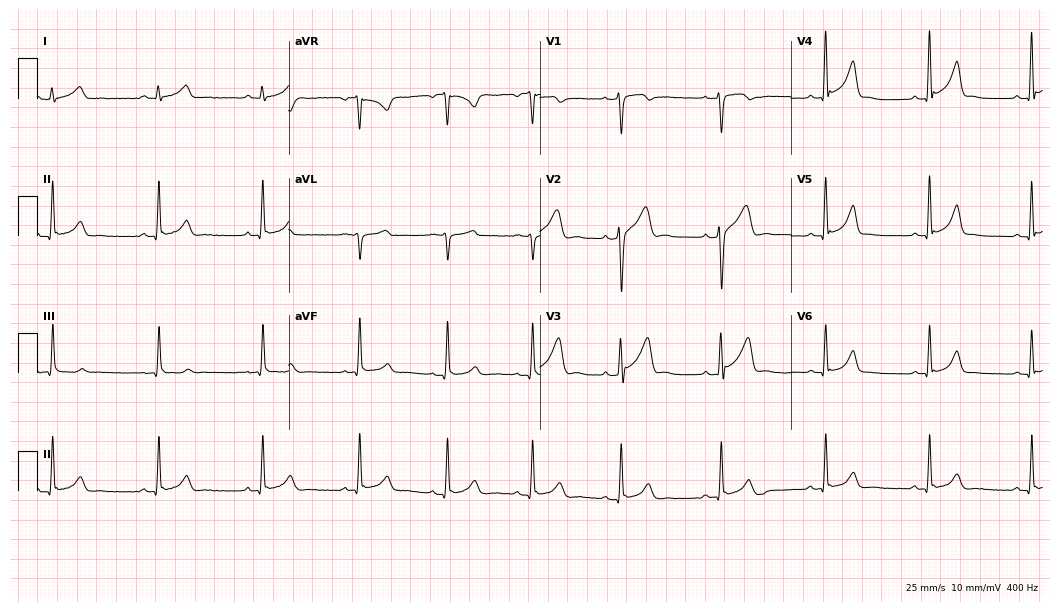
ECG — a male patient, 29 years old. Screened for six findings — first-degree AV block, right bundle branch block, left bundle branch block, sinus bradycardia, atrial fibrillation, sinus tachycardia — none is recorded.